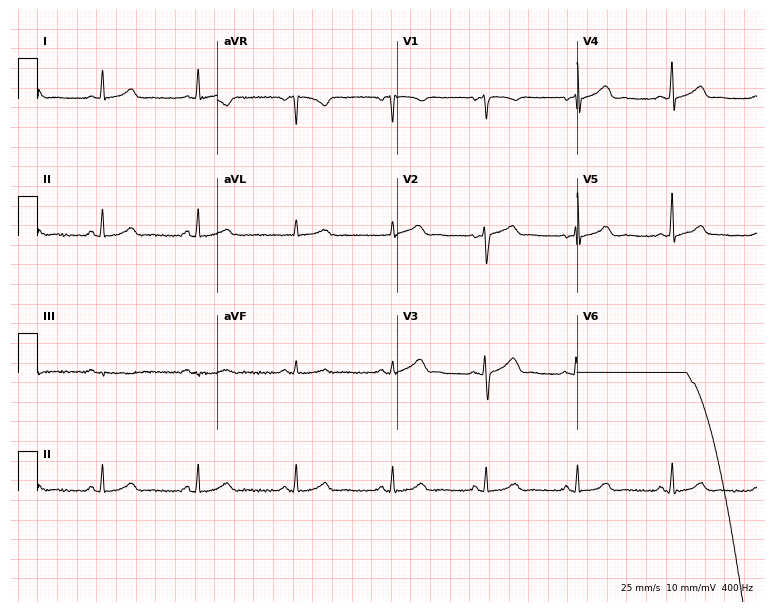
ECG (7.3-second recording at 400 Hz) — a woman, 53 years old. Screened for six findings — first-degree AV block, right bundle branch block, left bundle branch block, sinus bradycardia, atrial fibrillation, sinus tachycardia — none is recorded. Other findings, if any, are not listed.